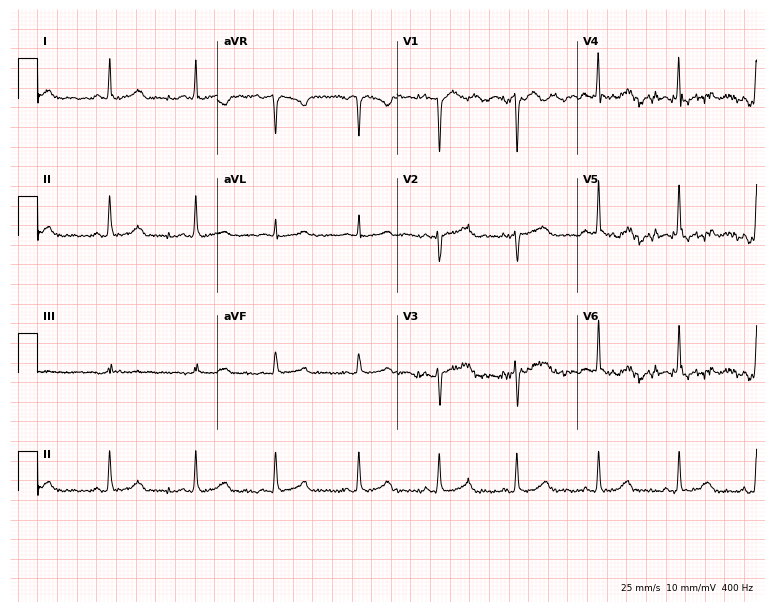
Resting 12-lead electrocardiogram. Patient: a 51-year-old female. None of these six findings is recorded: first-degree AV block, right bundle branch block, left bundle branch block, sinus bradycardia, atrial fibrillation, sinus tachycardia.